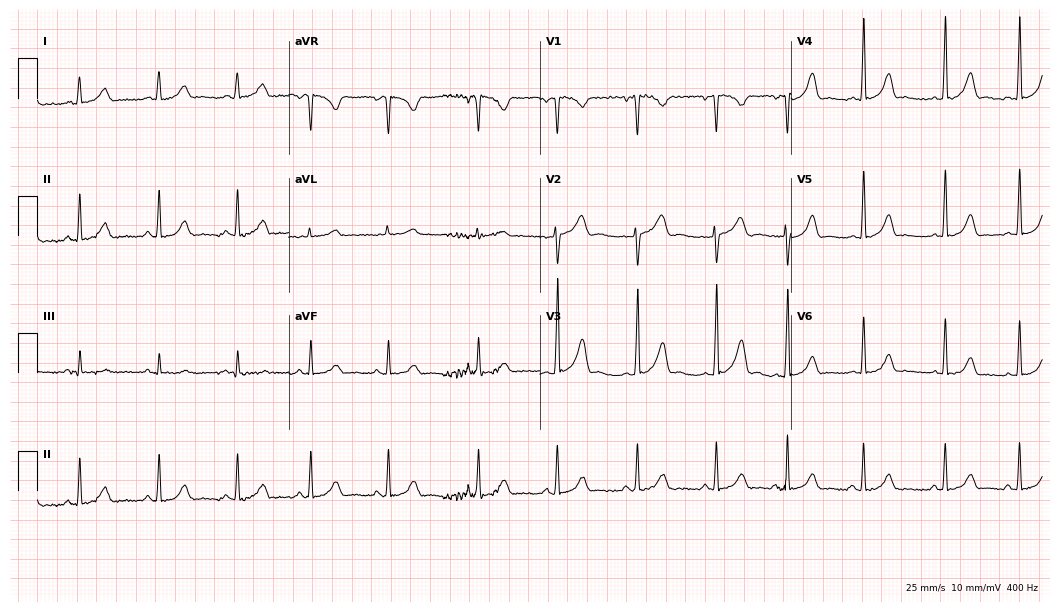
Resting 12-lead electrocardiogram. Patient: a female, 26 years old. Read as a normal ECG.